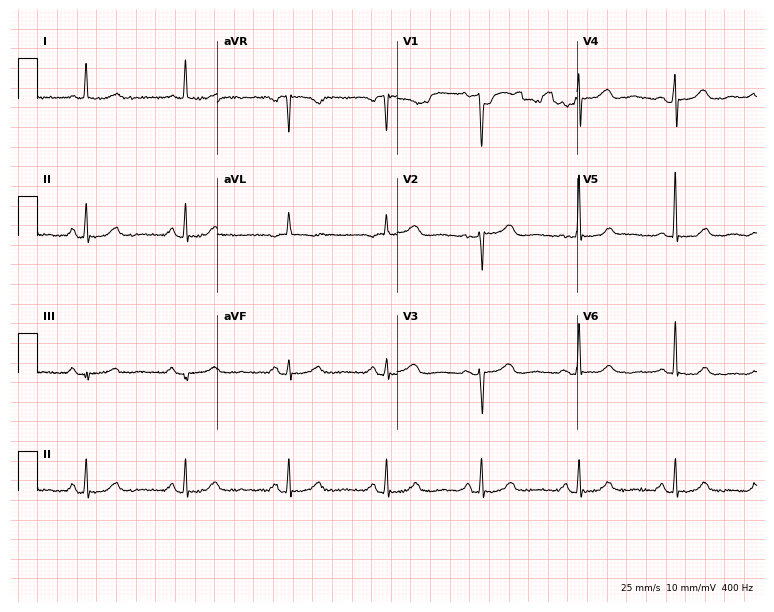
12-lead ECG from a 75-year-old woman. Recorded interpretation: within normal limits.